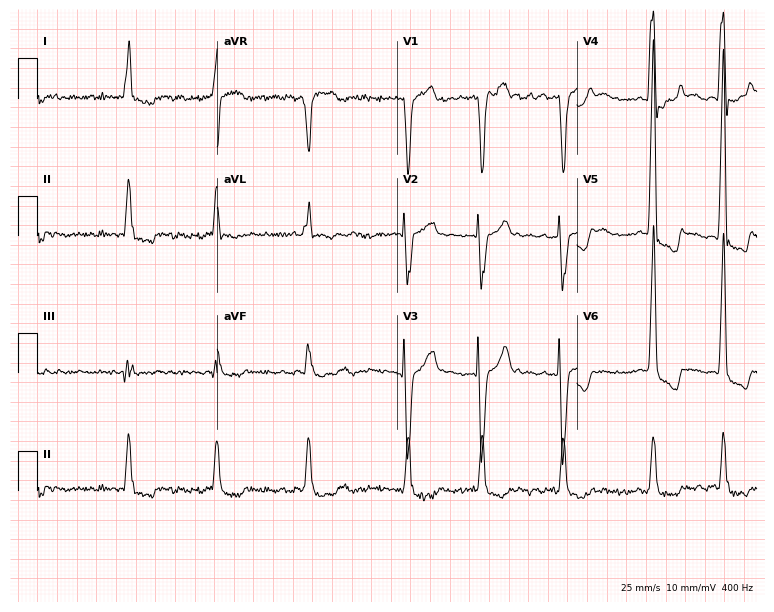
Electrocardiogram (7.3-second recording at 400 Hz), a 65-year-old man. Interpretation includes left bundle branch block (LBBB), atrial fibrillation (AF).